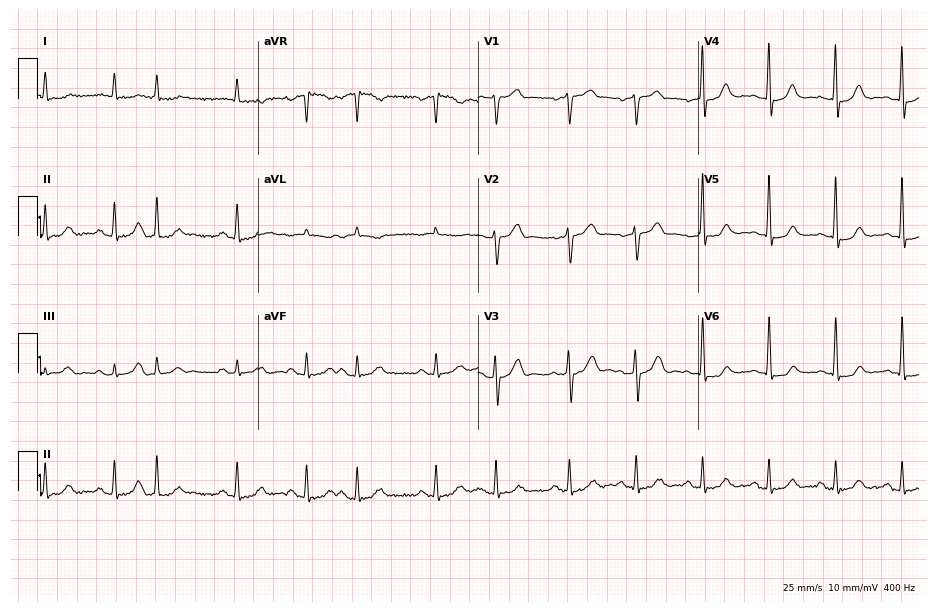
12-lead ECG from an 84-year-old man. No first-degree AV block, right bundle branch block (RBBB), left bundle branch block (LBBB), sinus bradycardia, atrial fibrillation (AF) or sinus tachycardia recorded for this tracing.